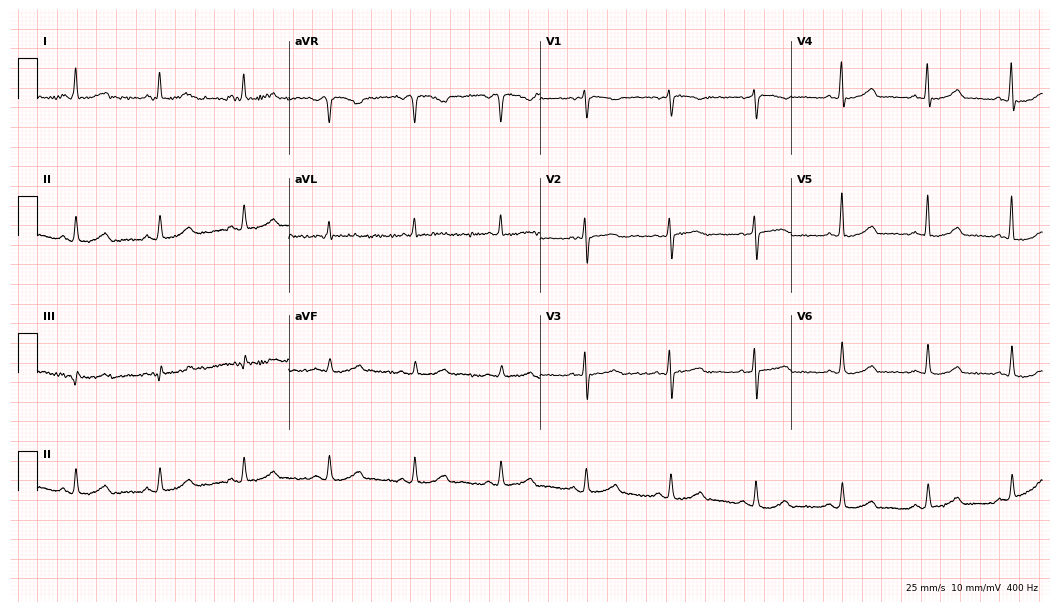
12-lead ECG from a female, 59 years old. Screened for six findings — first-degree AV block, right bundle branch block, left bundle branch block, sinus bradycardia, atrial fibrillation, sinus tachycardia — none is recorded. Other findings, if any, are not listed.